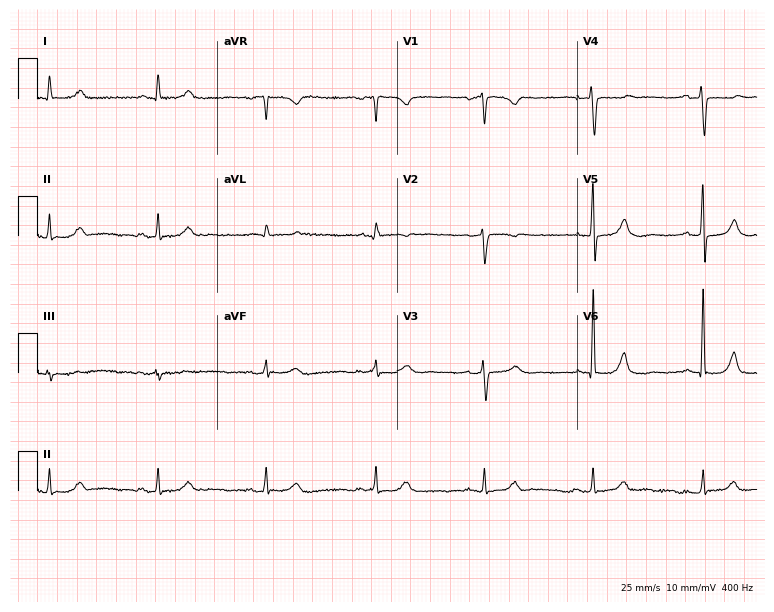
Resting 12-lead electrocardiogram. Patient: a female, 70 years old. Read as a normal ECG.